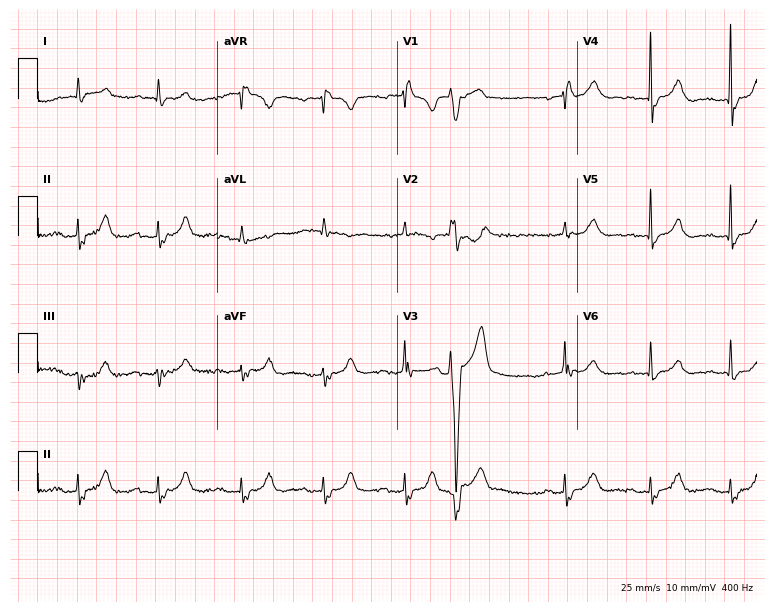
ECG (7.3-second recording at 400 Hz) — a female patient, 69 years old. Findings include first-degree AV block, right bundle branch block.